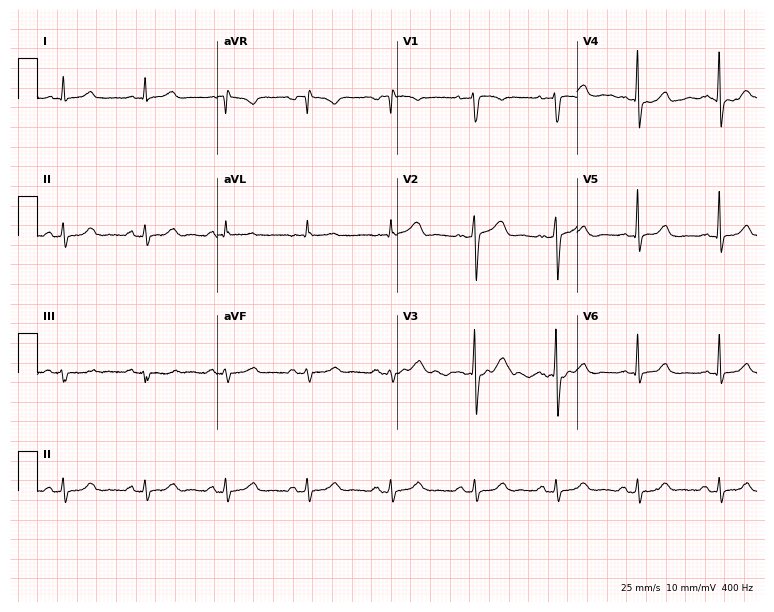
Resting 12-lead electrocardiogram (7.3-second recording at 400 Hz). Patient: a 59-year-old female. Read as a normal ECG.